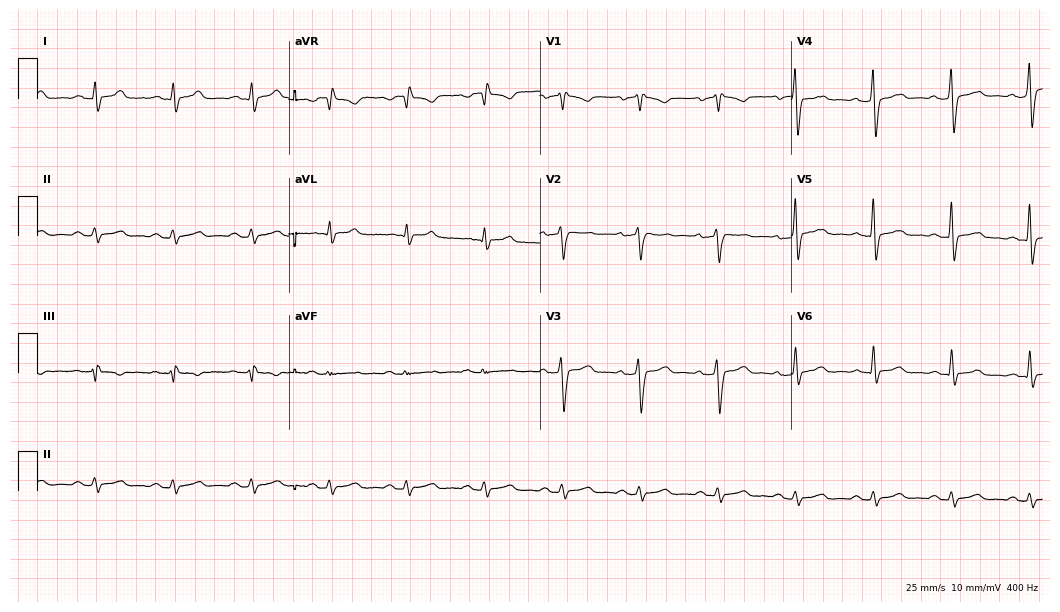
ECG (10.2-second recording at 400 Hz) — a 40-year-old man. Screened for six findings — first-degree AV block, right bundle branch block (RBBB), left bundle branch block (LBBB), sinus bradycardia, atrial fibrillation (AF), sinus tachycardia — none is recorded. Other findings, if any, are not listed.